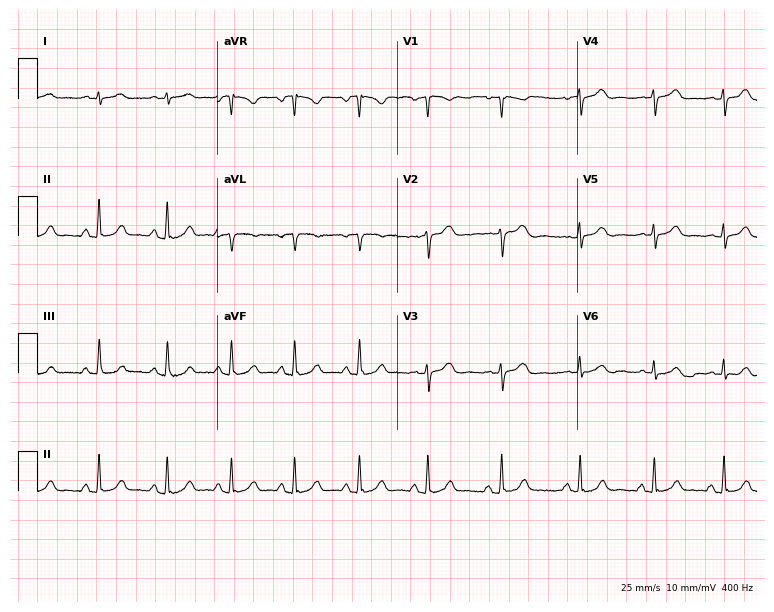
Electrocardiogram (7.3-second recording at 400 Hz), a 47-year-old female. Of the six screened findings (first-degree AV block, right bundle branch block (RBBB), left bundle branch block (LBBB), sinus bradycardia, atrial fibrillation (AF), sinus tachycardia), none is recorded.